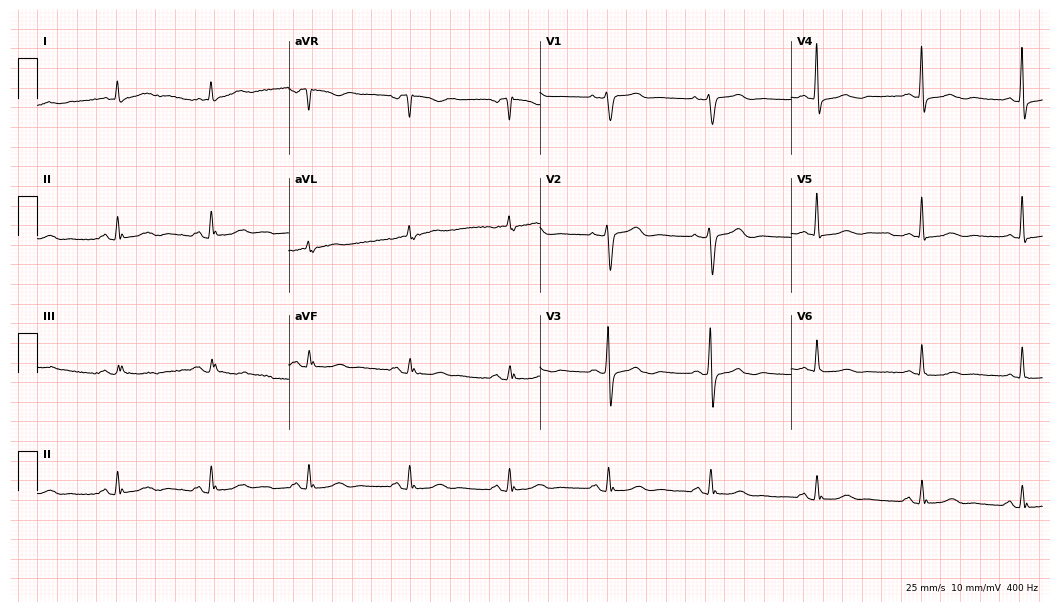
12-lead ECG from a woman, 63 years old. No first-degree AV block, right bundle branch block, left bundle branch block, sinus bradycardia, atrial fibrillation or sinus tachycardia recorded for this tracing.